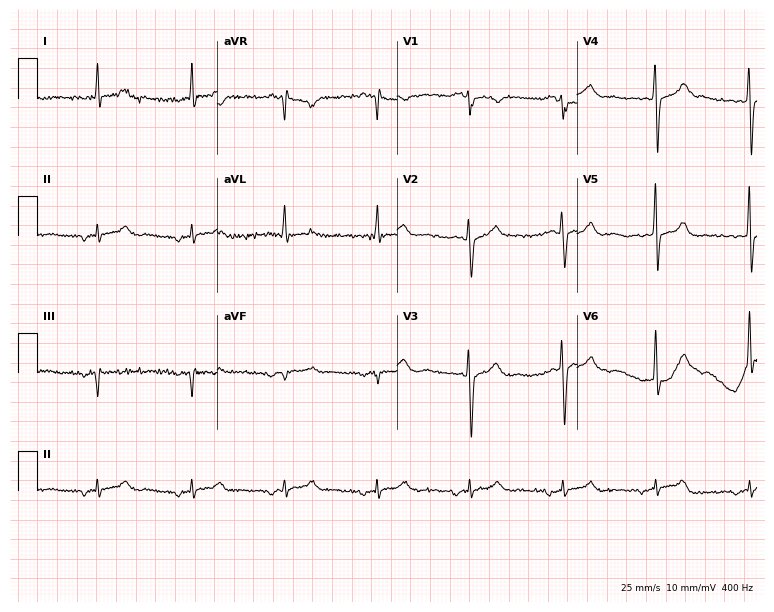
Standard 12-lead ECG recorded from a male patient, 67 years old (7.3-second recording at 400 Hz). None of these six findings is recorded: first-degree AV block, right bundle branch block (RBBB), left bundle branch block (LBBB), sinus bradycardia, atrial fibrillation (AF), sinus tachycardia. Only these six findings were labelled.